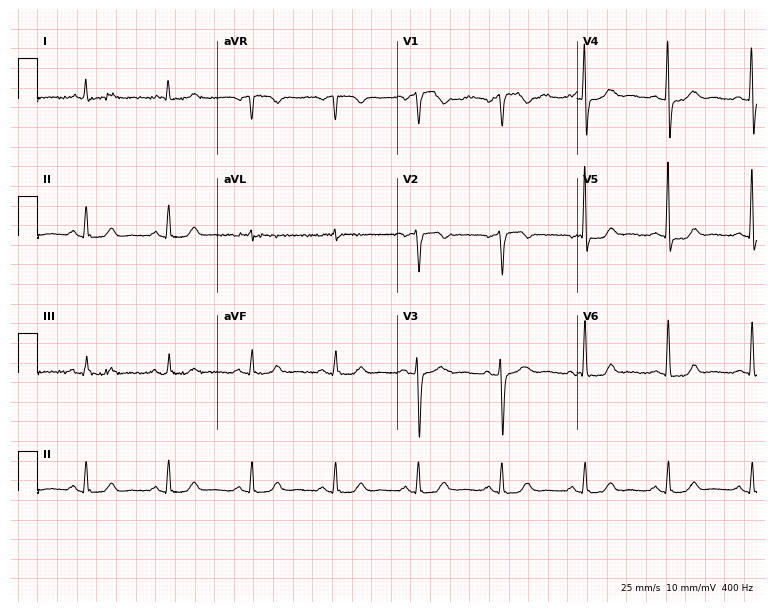
Standard 12-lead ECG recorded from a woman, 63 years old. None of these six findings is recorded: first-degree AV block, right bundle branch block, left bundle branch block, sinus bradycardia, atrial fibrillation, sinus tachycardia.